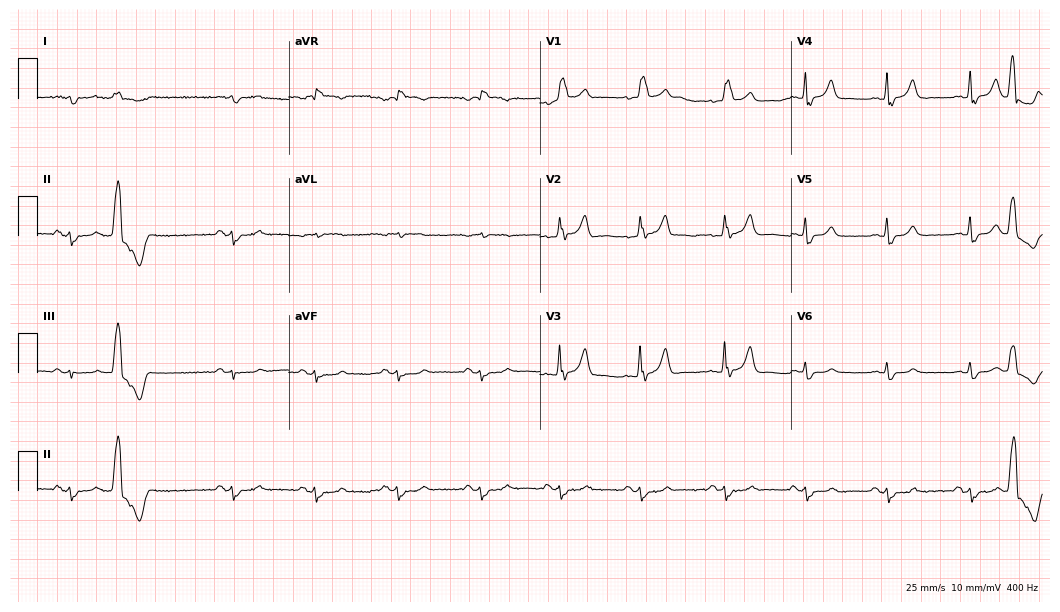
12-lead ECG from an 85-year-old male patient. Findings include right bundle branch block.